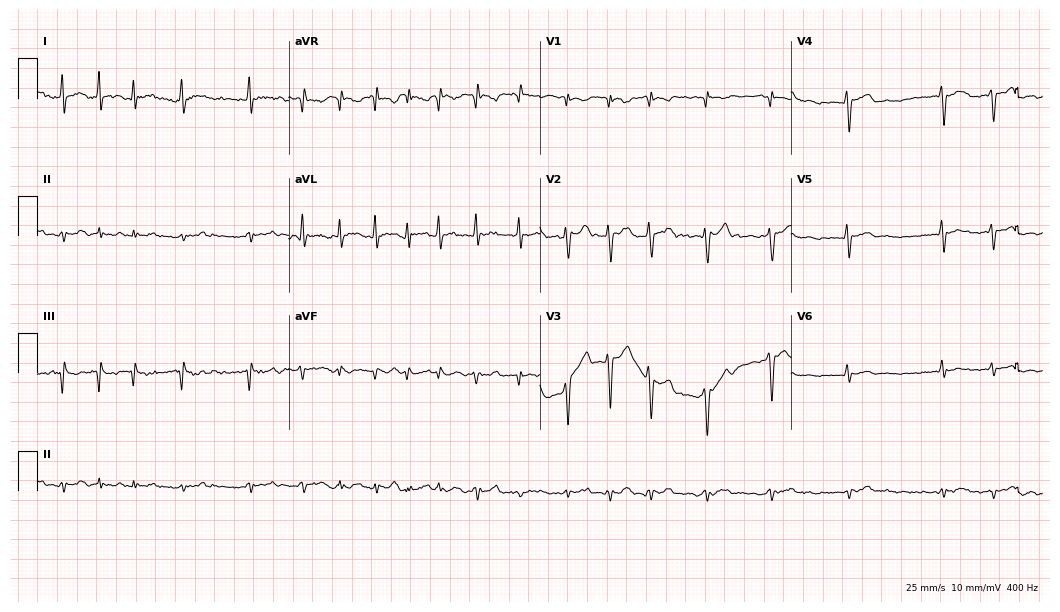
ECG — a man, 41 years old. Screened for six findings — first-degree AV block, right bundle branch block, left bundle branch block, sinus bradycardia, atrial fibrillation, sinus tachycardia — none is recorded. Other findings, if any, are not listed.